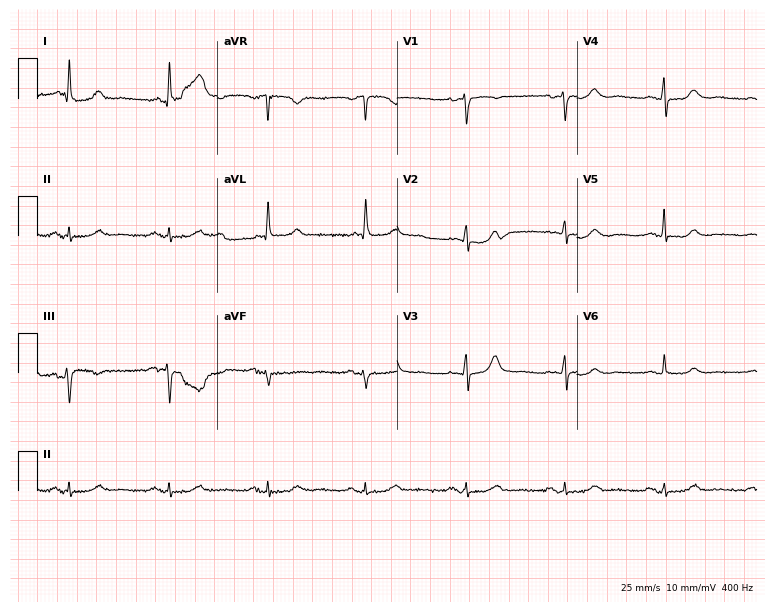
Electrocardiogram (7.3-second recording at 400 Hz), an 80-year-old female patient. Overall reading on record: normal ECG.